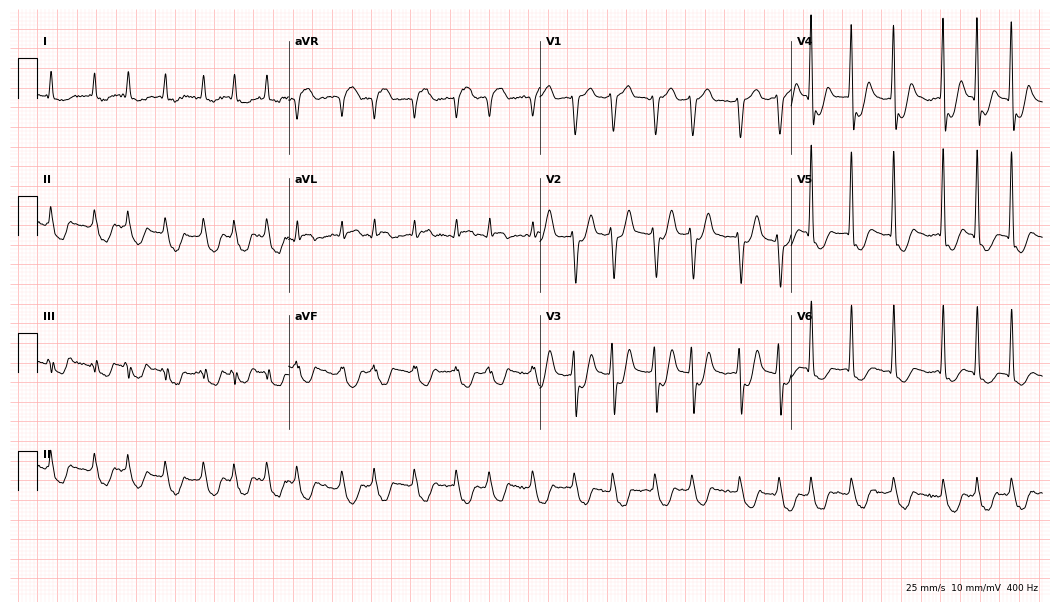
Resting 12-lead electrocardiogram. Patient: a 72-year-old female. The tracing shows atrial fibrillation (AF).